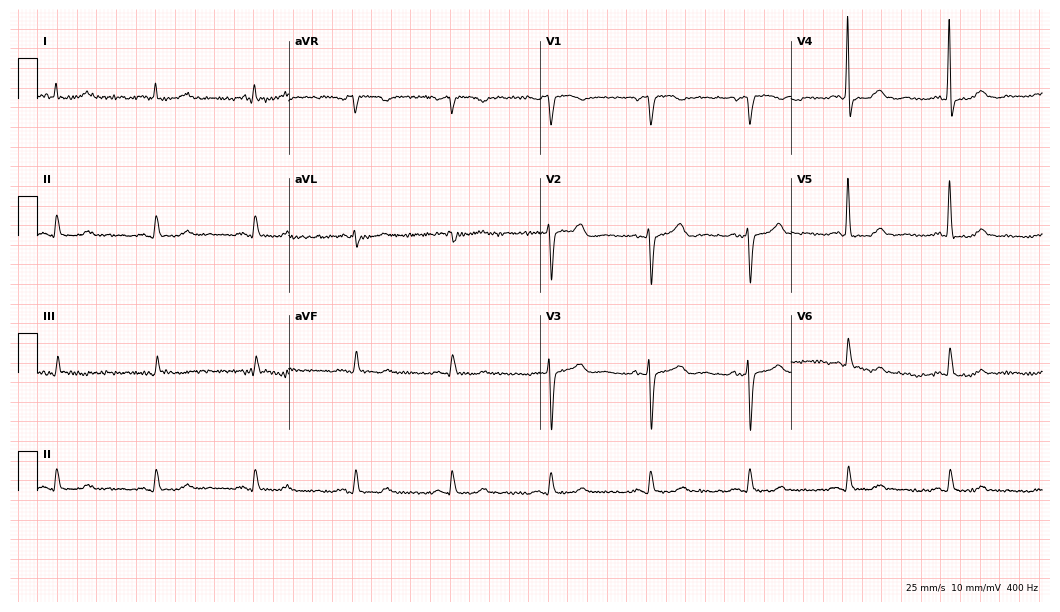
12-lead ECG from a female, 82 years old. Screened for six findings — first-degree AV block, right bundle branch block, left bundle branch block, sinus bradycardia, atrial fibrillation, sinus tachycardia — none is recorded.